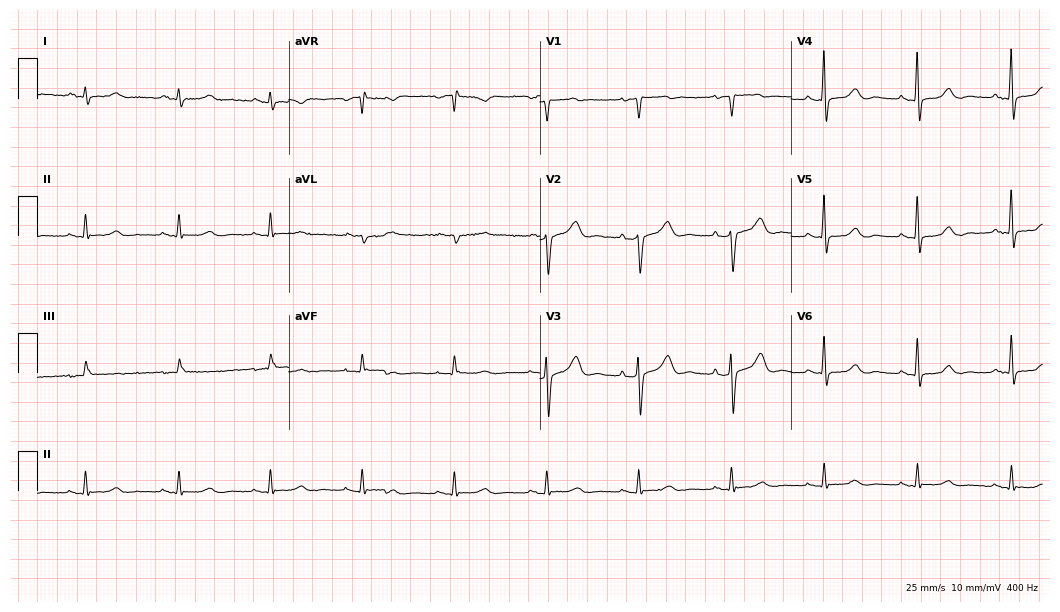
Electrocardiogram (10.2-second recording at 400 Hz), a 73-year-old male. Overall reading on record: normal ECG.